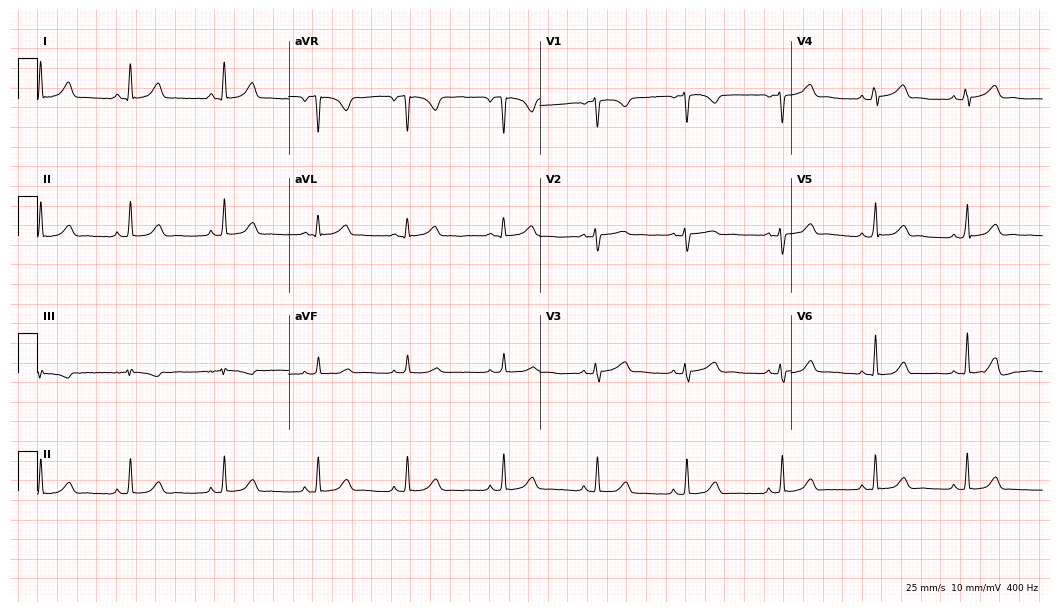
Standard 12-lead ECG recorded from a 17-year-old female patient (10.2-second recording at 400 Hz). Read as a normal ECG.